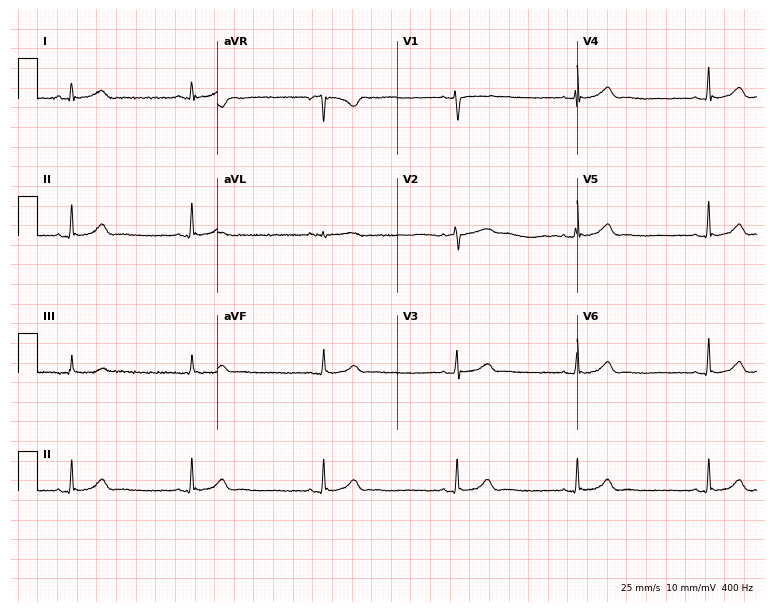
Standard 12-lead ECG recorded from a 25-year-old woman. The tracing shows sinus bradycardia (a sinus rate of 50 beats per minute or less).